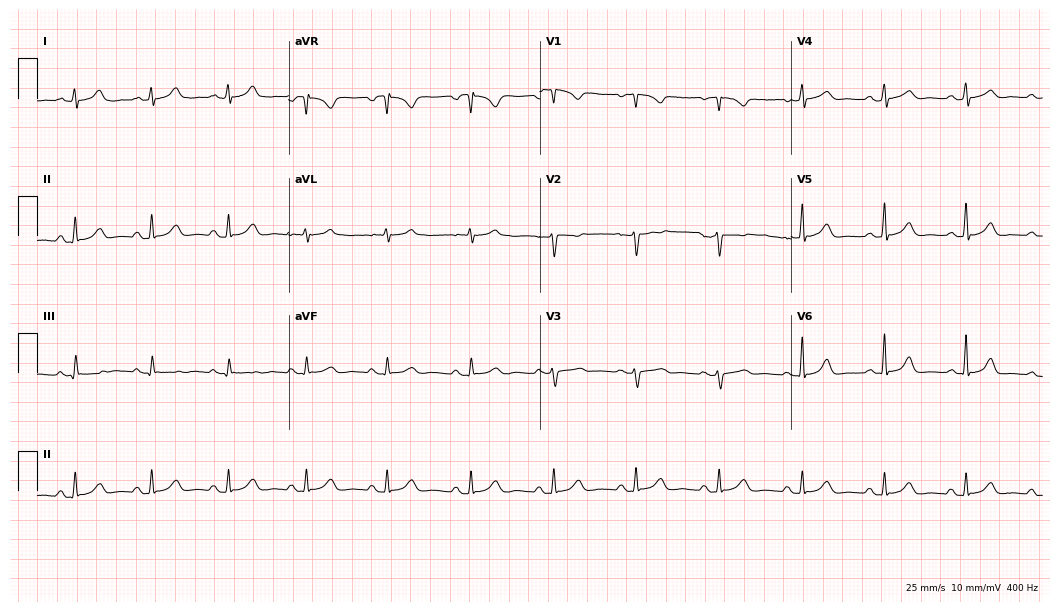
Electrocardiogram (10.2-second recording at 400 Hz), a 39-year-old female. Overall reading on record: normal ECG.